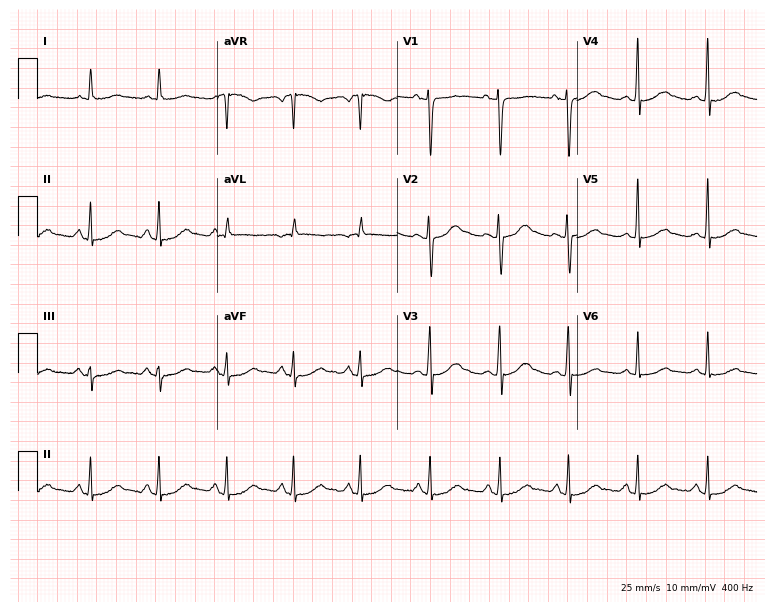
12-lead ECG from a female, 43 years old. Labelled as a normal ECG.